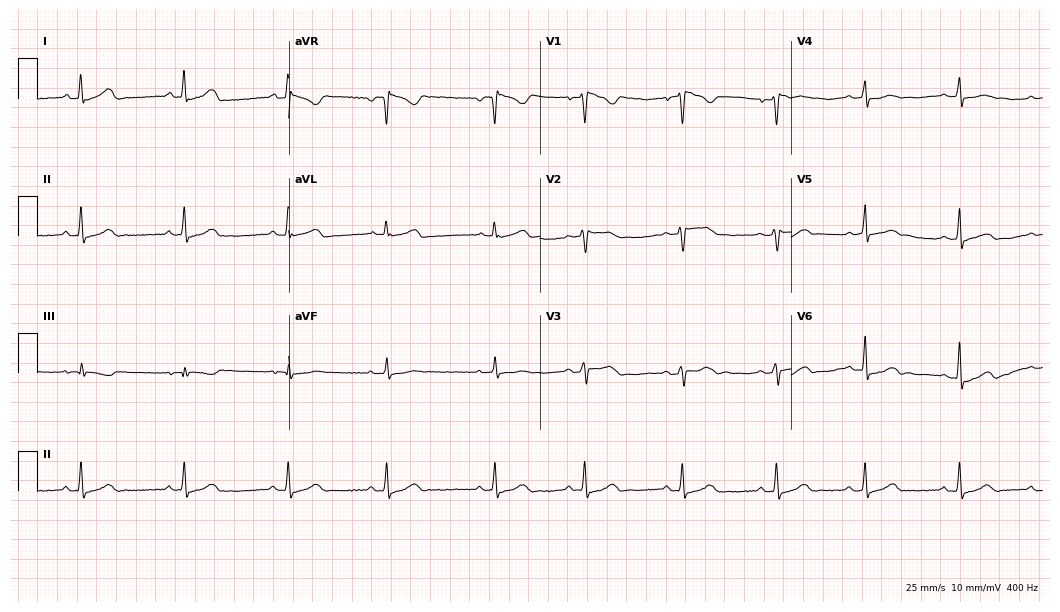
Electrocardiogram, a female patient, 18 years old. Of the six screened findings (first-degree AV block, right bundle branch block, left bundle branch block, sinus bradycardia, atrial fibrillation, sinus tachycardia), none is recorded. Only these six findings were labelled.